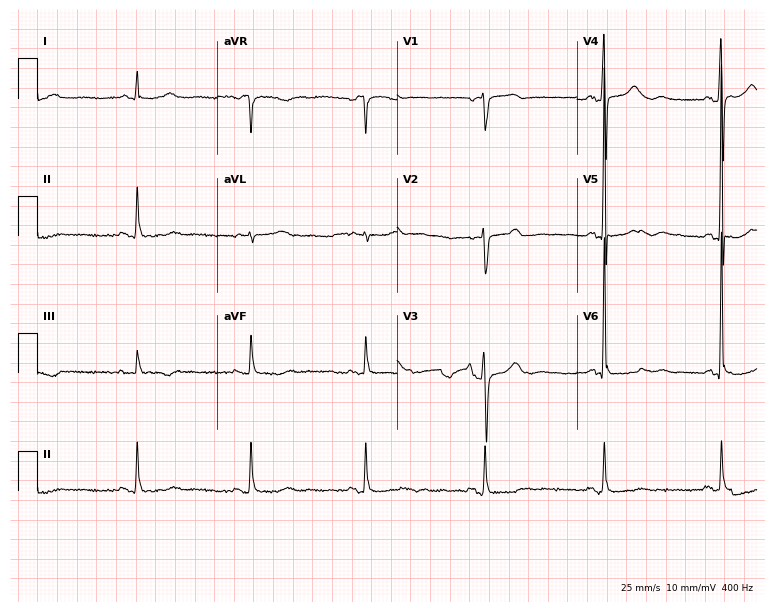
ECG — a female, 80 years old. Findings include sinus bradycardia (a sinus rate of 50 beats per minute or less).